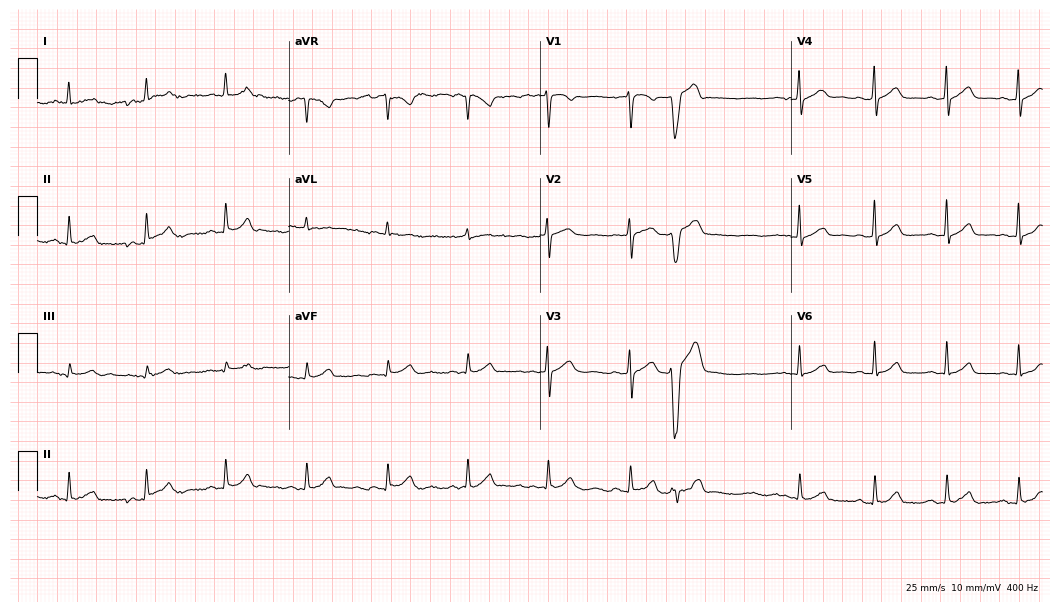
12-lead ECG from a 70-year-old woman. Recorded interpretation: within normal limits.